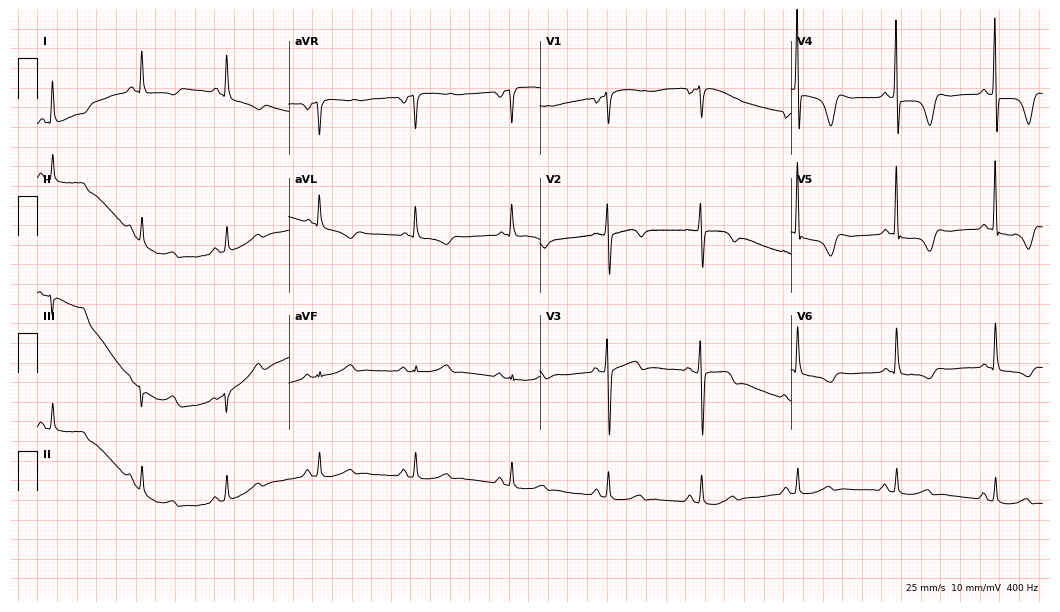
Electrocardiogram (10.2-second recording at 400 Hz), a 77-year-old female. Of the six screened findings (first-degree AV block, right bundle branch block (RBBB), left bundle branch block (LBBB), sinus bradycardia, atrial fibrillation (AF), sinus tachycardia), none is recorded. Only these six findings were labelled.